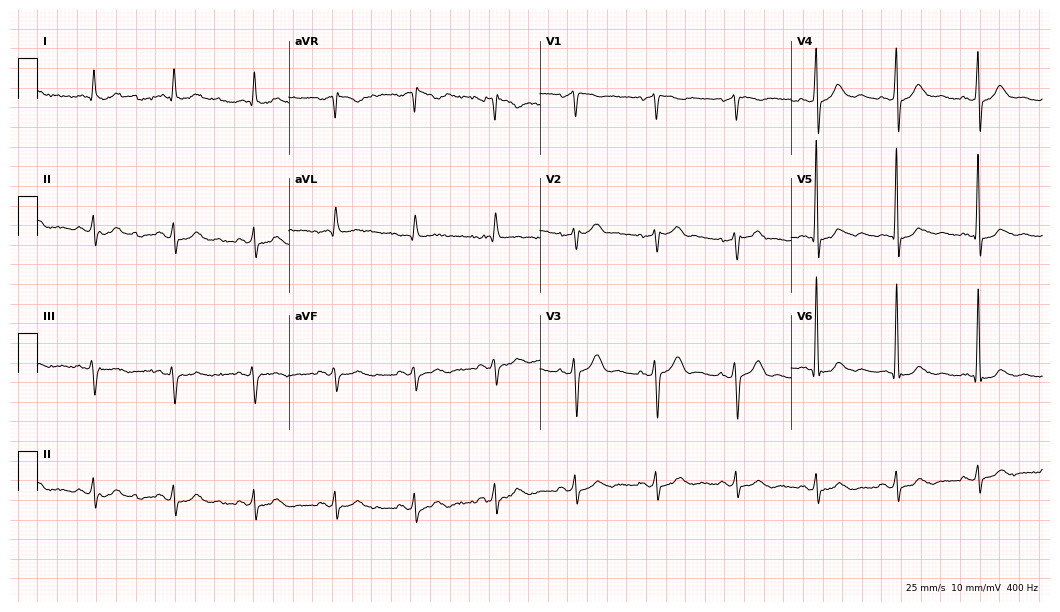
Standard 12-lead ECG recorded from a 75-year-old male patient (10.2-second recording at 400 Hz). None of these six findings is recorded: first-degree AV block, right bundle branch block, left bundle branch block, sinus bradycardia, atrial fibrillation, sinus tachycardia.